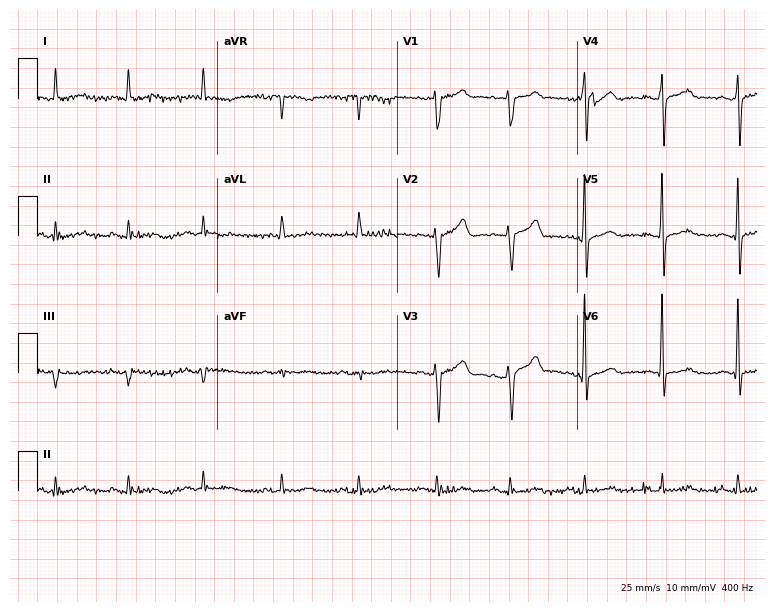
Resting 12-lead electrocardiogram (7.3-second recording at 400 Hz). Patient: an 81-year-old woman. None of these six findings is recorded: first-degree AV block, right bundle branch block, left bundle branch block, sinus bradycardia, atrial fibrillation, sinus tachycardia. Findings outside these six are not listed.